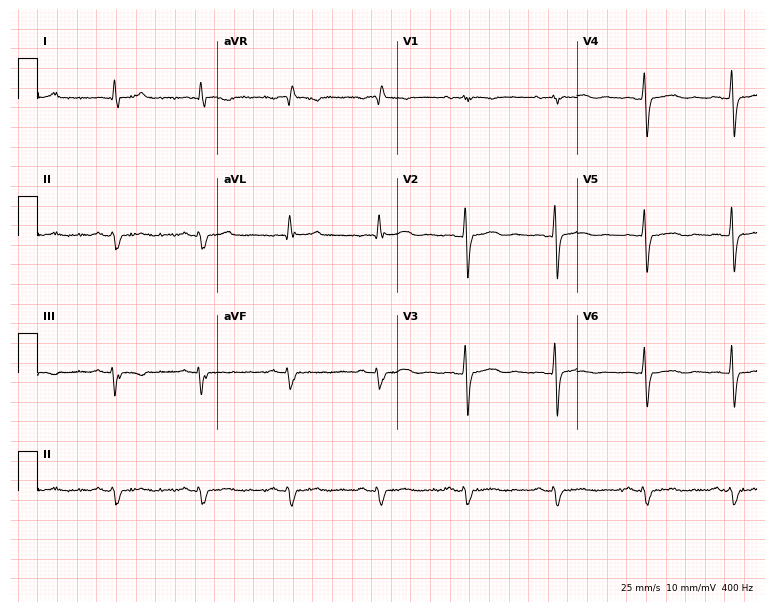
ECG — a 60-year-old male patient. Screened for six findings — first-degree AV block, right bundle branch block (RBBB), left bundle branch block (LBBB), sinus bradycardia, atrial fibrillation (AF), sinus tachycardia — none is recorded.